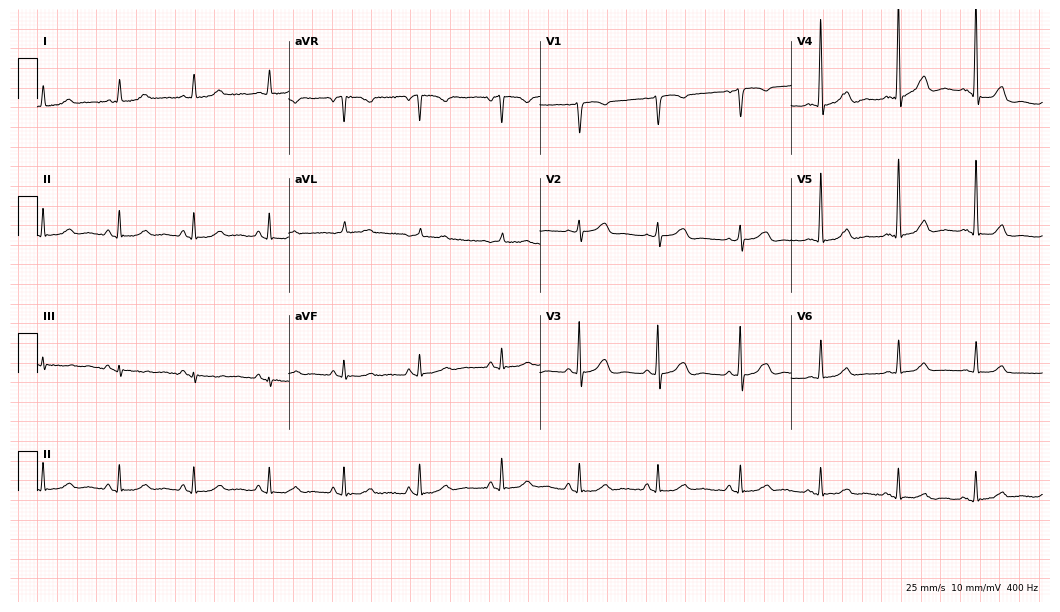
12-lead ECG from a female, 82 years old. Labelled as a normal ECG.